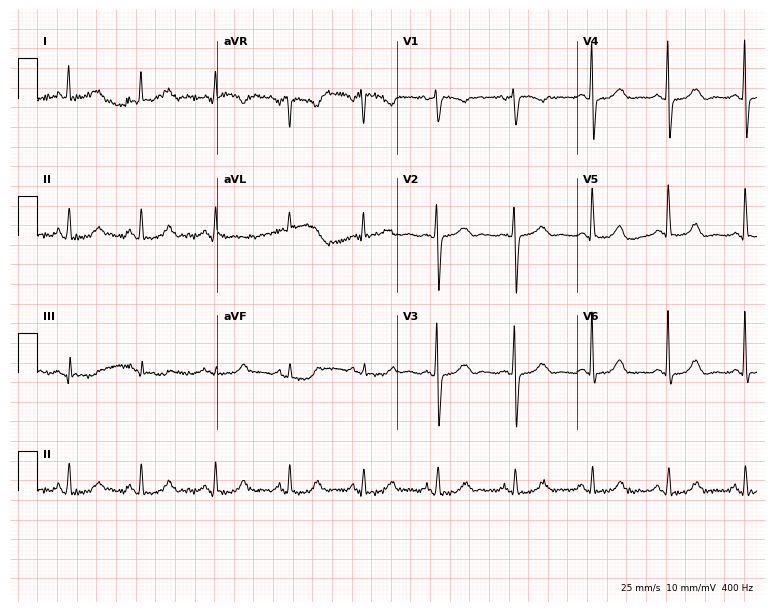
ECG — a female, 63 years old. Labelled as a normal ECG.